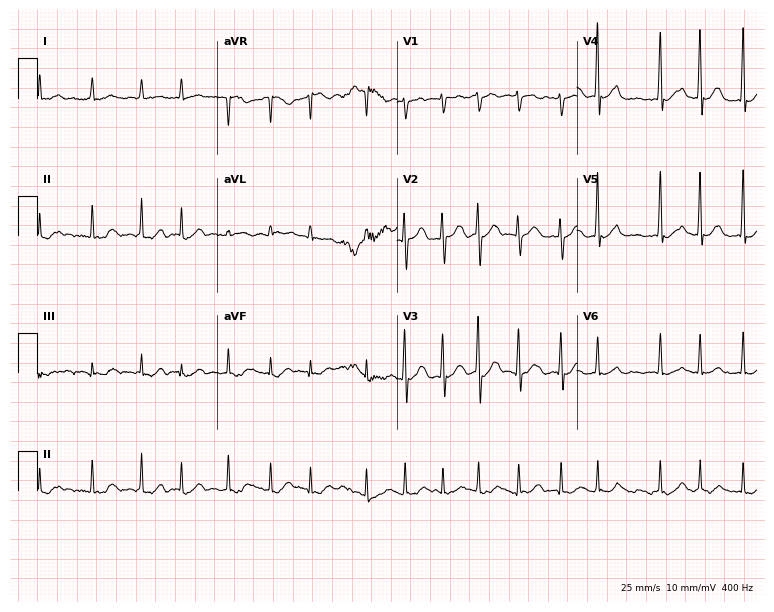
12-lead ECG from a 65-year-old female (7.3-second recording at 400 Hz). Shows atrial fibrillation.